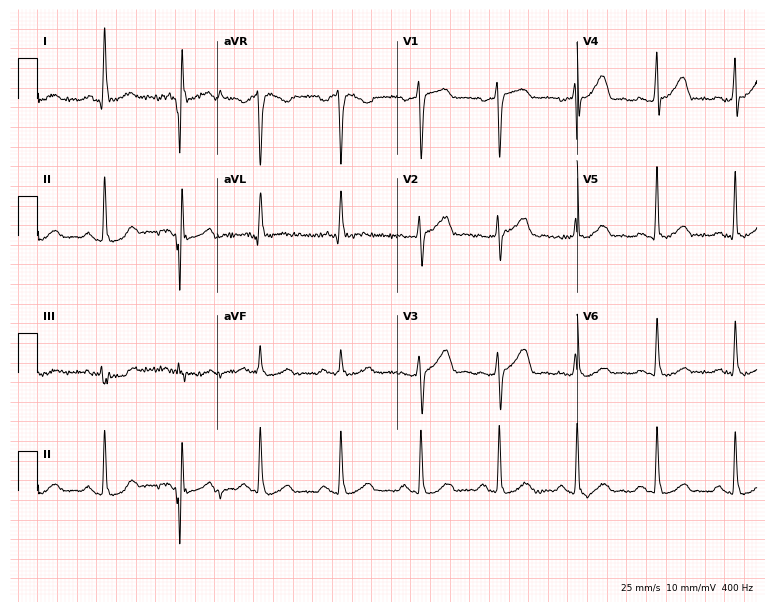
Standard 12-lead ECG recorded from a woman, 36 years old (7.3-second recording at 400 Hz). Read as a normal ECG.